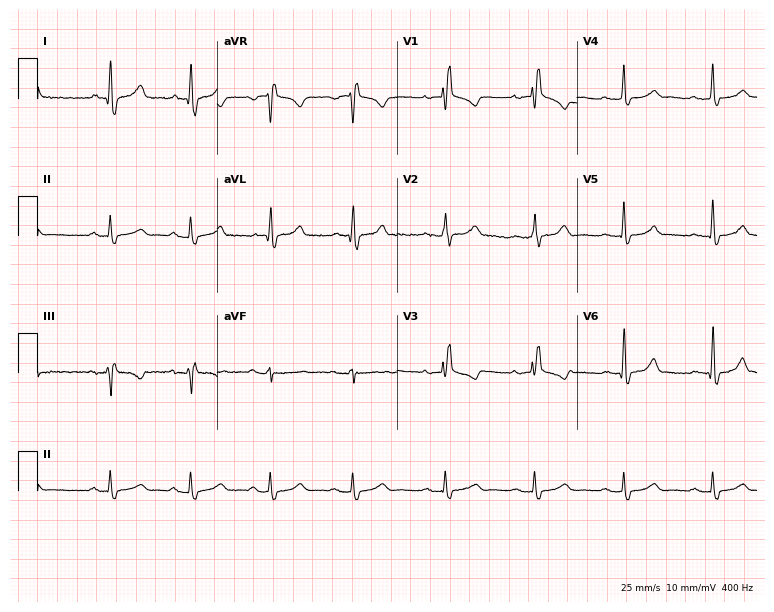
ECG (7.3-second recording at 400 Hz) — a 44-year-old female patient. Findings include right bundle branch block.